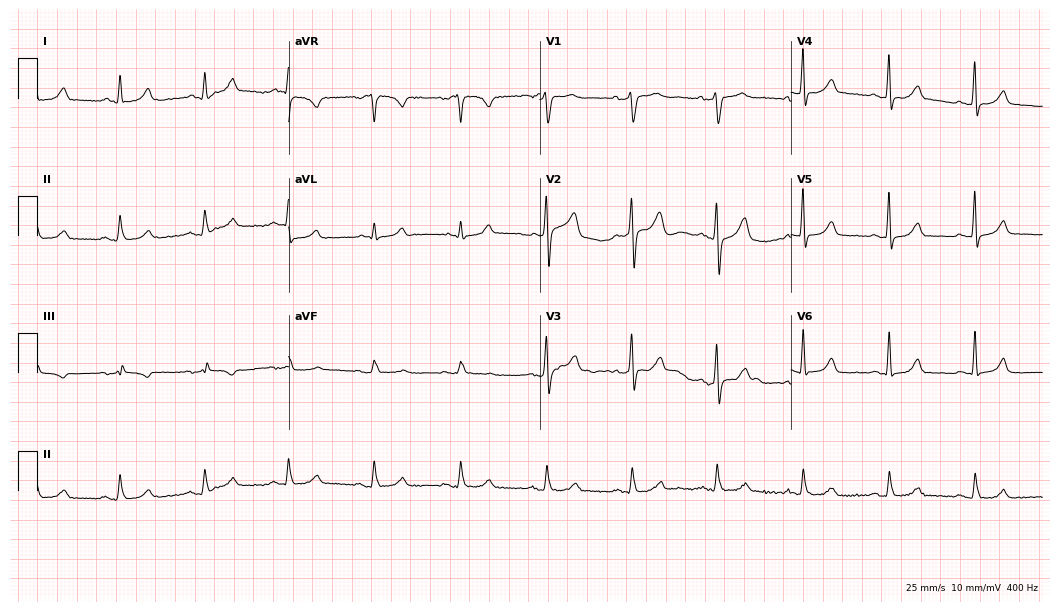
ECG — a 60-year-old male. Labelled as a normal ECG.